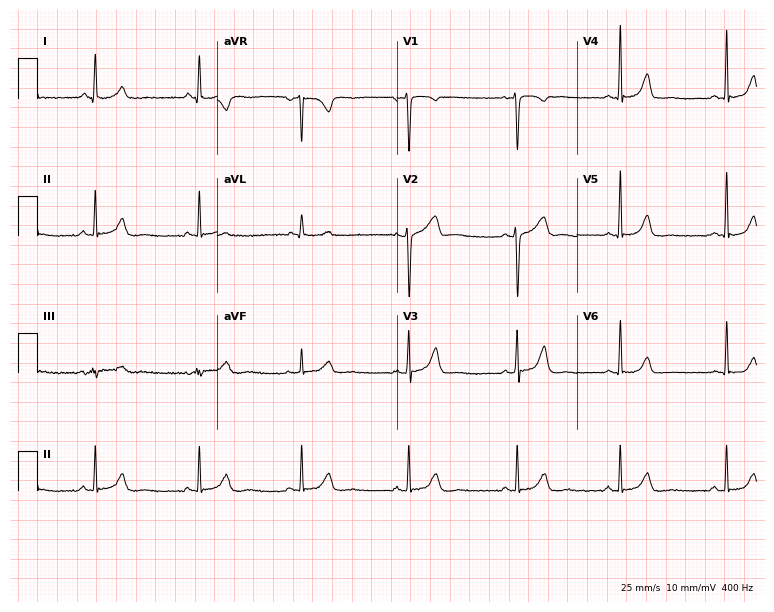
12-lead ECG (7.3-second recording at 400 Hz) from a 29-year-old female patient. Screened for six findings — first-degree AV block, right bundle branch block (RBBB), left bundle branch block (LBBB), sinus bradycardia, atrial fibrillation (AF), sinus tachycardia — none is recorded.